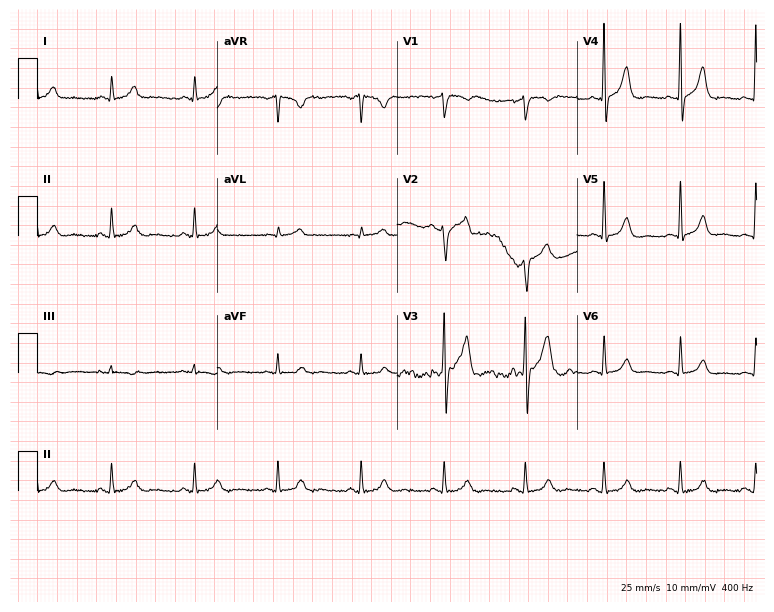
Electrocardiogram (7.3-second recording at 400 Hz), a male patient, 49 years old. Of the six screened findings (first-degree AV block, right bundle branch block, left bundle branch block, sinus bradycardia, atrial fibrillation, sinus tachycardia), none is recorded. Other findings, if any, are not listed.